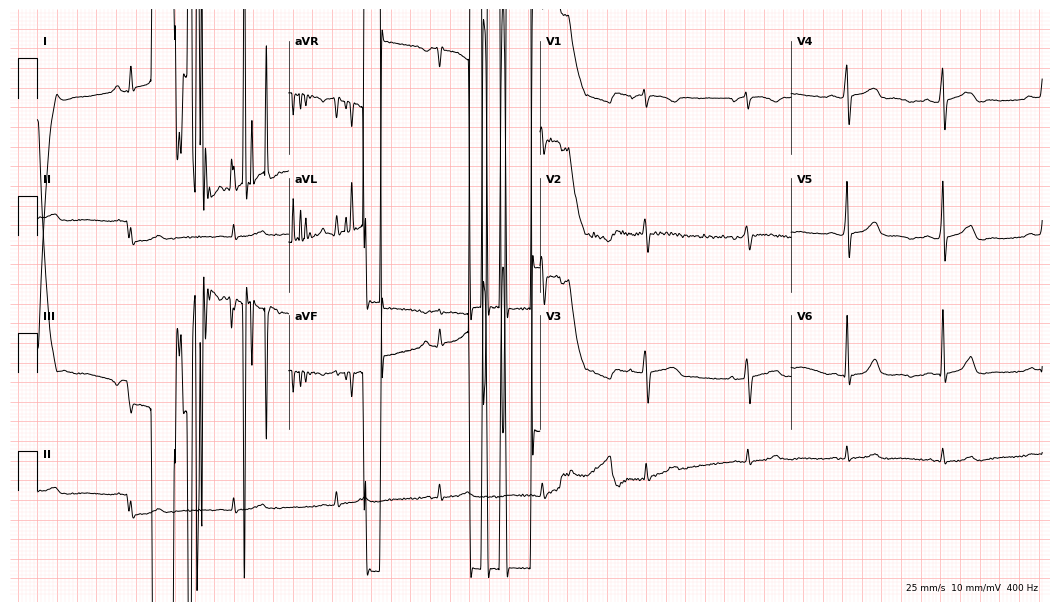
12-lead ECG from a male patient, 72 years old (10.2-second recording at 400 Hz). No first-degree AV block, right bundle branch block, left bundle branch block, sinus bradycardia, atrial fibrillation or sinus tachycardia recorded for this tracing. Only these six findings were labelled.